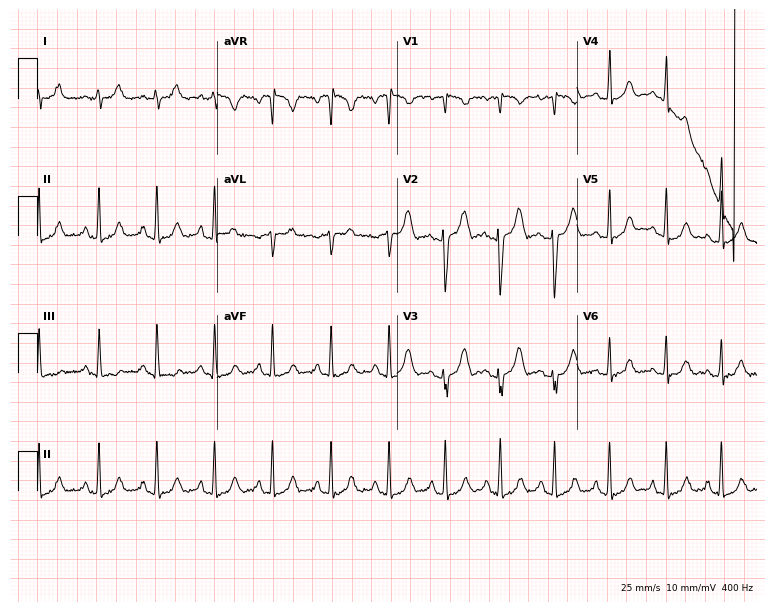
Electrocardiogram, a 19-year-old woman. Interpretation includes sinus tachycardia (a sinus rate of 100 beats per minute or more).